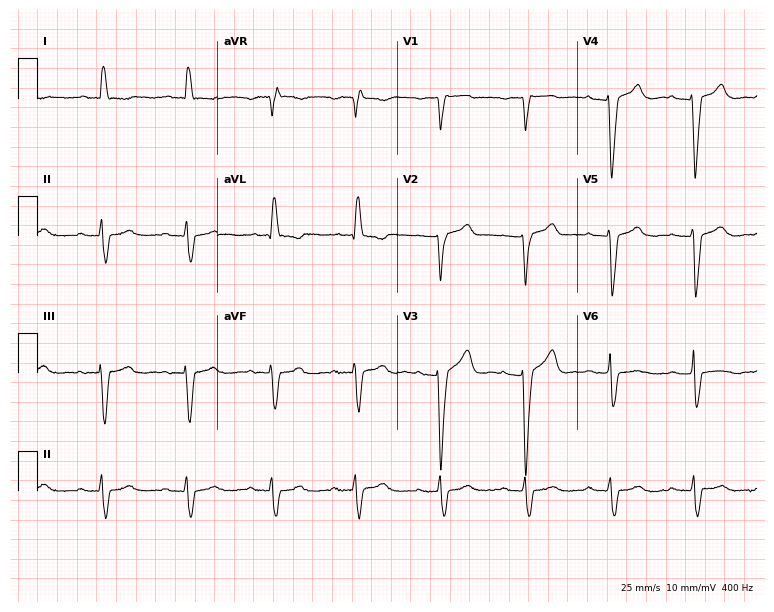
ECG (7.3-second recording at 400 Hz) — a female patient, 61 years old. Findings include first-degree AV block, left bundle branch block.